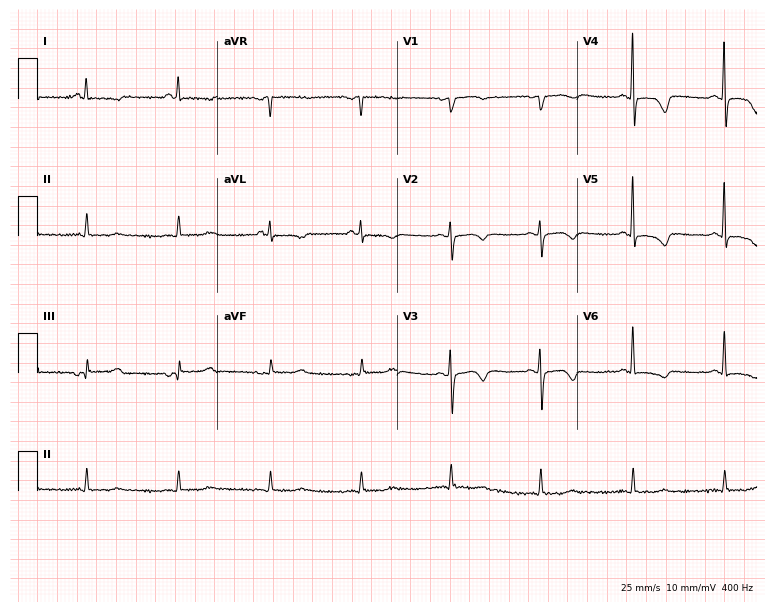
Resting 12-lead electrocardiogram (7.3-second recording at 400 Hz). Patient: a 66-year-old female. None of these six findings is recorded: first-degree AV block, right bundle branch block, left bundle branch block, sinus bradycardia, atrial fibrillation, sinus tachycardia. Findings outside these six are not listed.